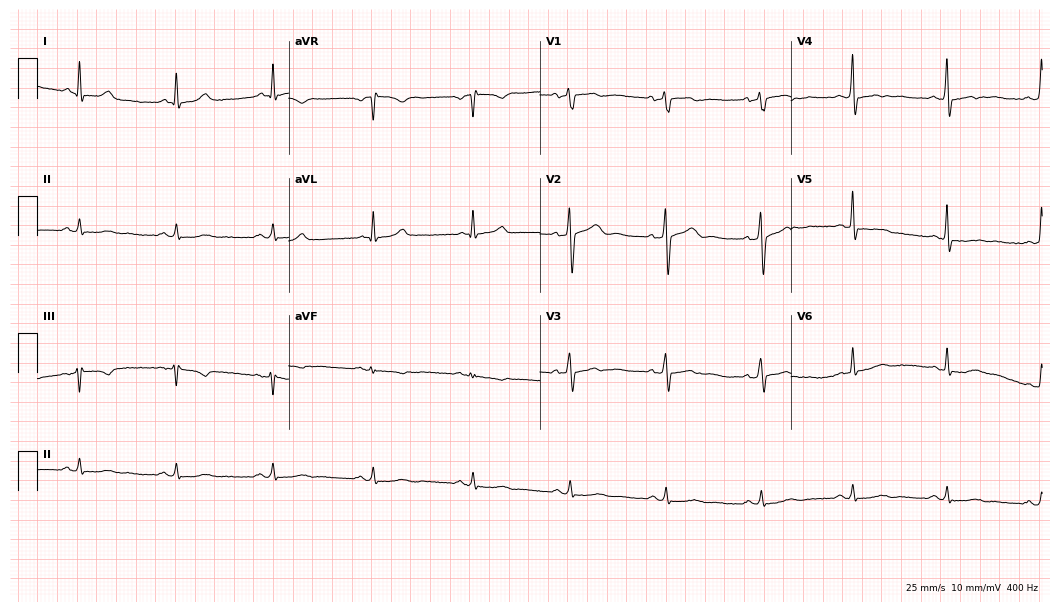
12-lead ECG from a male, 63 years old (10.2-second recording at 400 Hz). No first-degree AV block, right bundle branch block (RBBB), left bundle branch block (LBBB), sinus bradycardia, atrial fibrillation (AF) or sinus tachycardia recorded for this tracing.